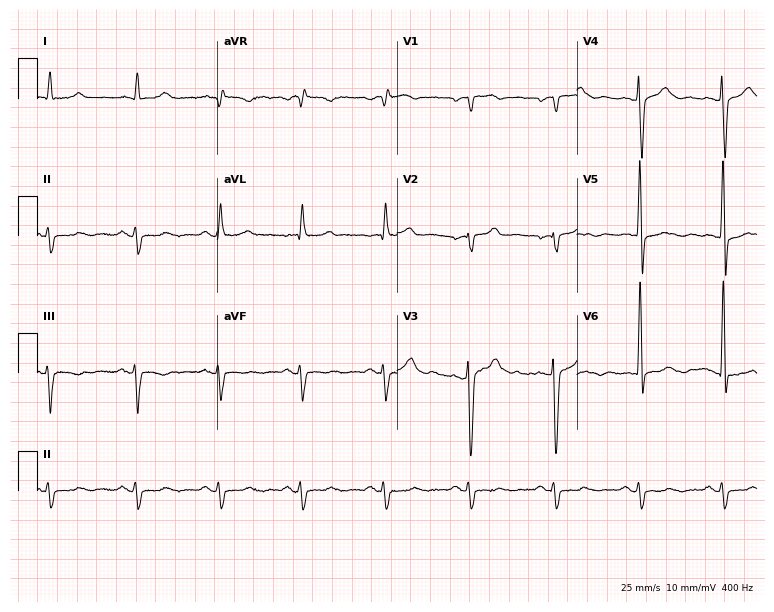
12-lead ECG (7.3-second recording at 400 Hz) from a 77-year-old male. Screened for six findings — first-degree AV block, right bundle branch block (RBBB), left bundle branch block (LBBB), sinus bradycardia, atrial fibrillation (AF), sinus tachycardia — none is recorded.